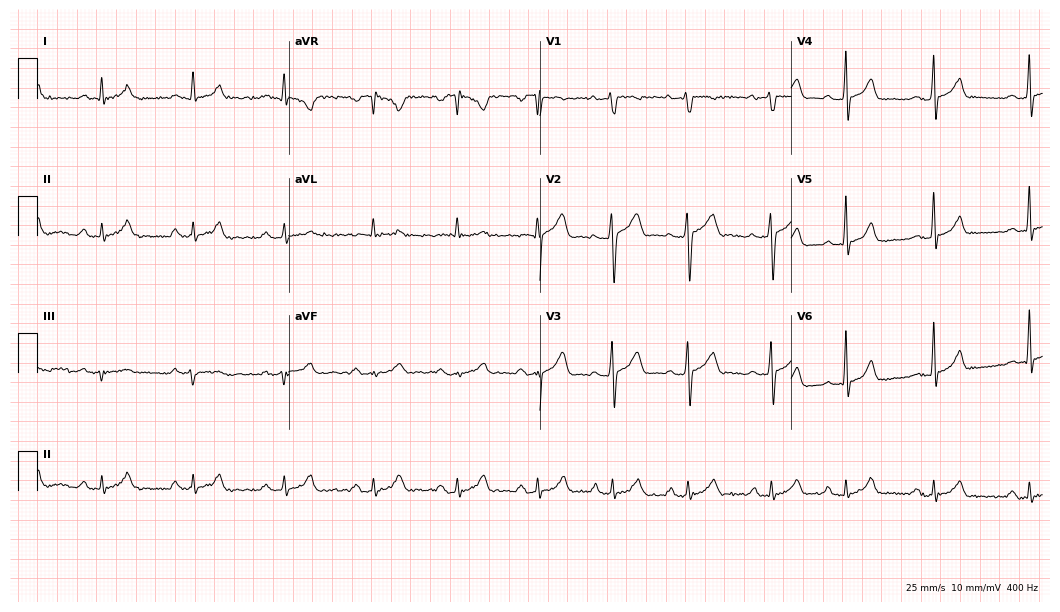
ECG (10.2-second recording at 400 Hz) — a man, 34 years old. Labelled as a normal ECG.